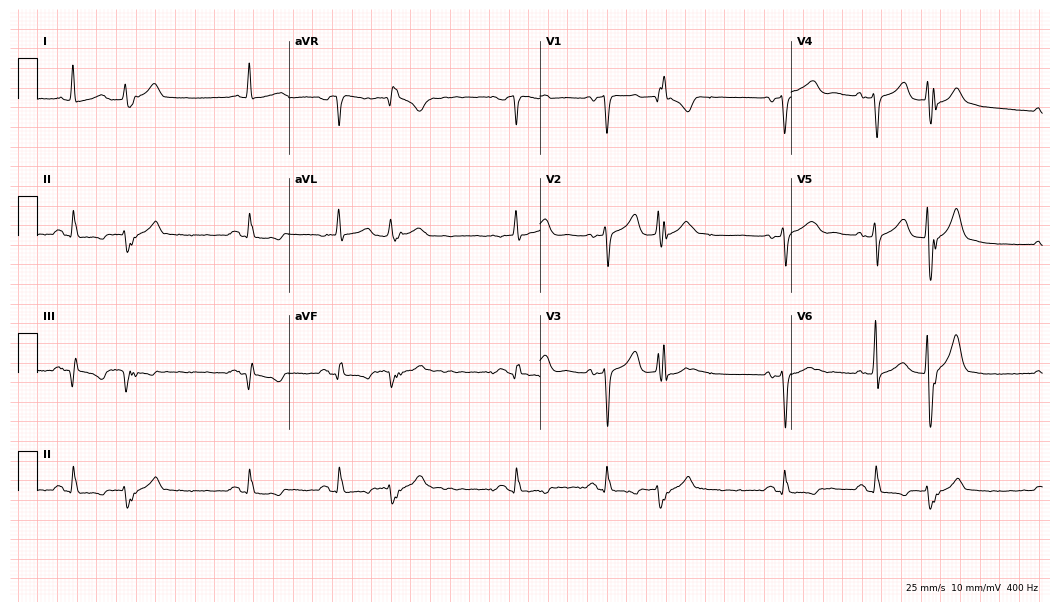
Electrocardiogram (10.2-second recording at 400 Hz), a 74-year-old male patient. Of the six screened findings (first-degree AV block, right bundle branch block (RBBB), left bundle branch block (LBBB), sinus bradycardia, atrial fibrillation (AF), sinus tachycardia), none is recorded. Only these six findings were labelled.